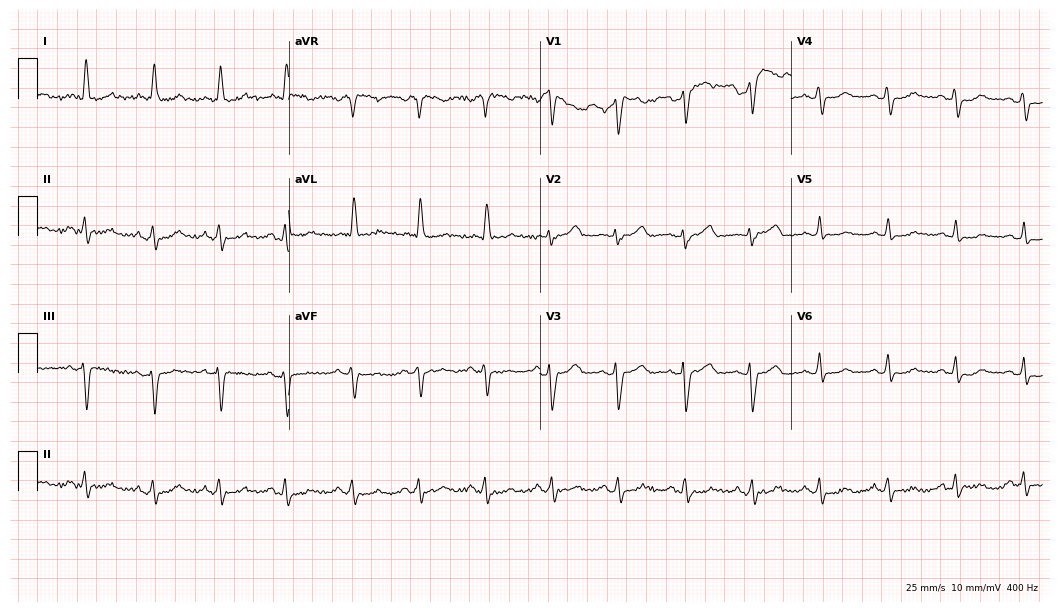
Resting 12-lead electrocardiogram (10.2-second recording at 400 Hz). Patient: a female, 65 years old. None of these six findings is recorded: first-degree AV block, right bundle branch block, left bundle branch block, sinus bradycardia, atrial fibrillation, sinus tachycardia. Other findings, if any, are not listed.